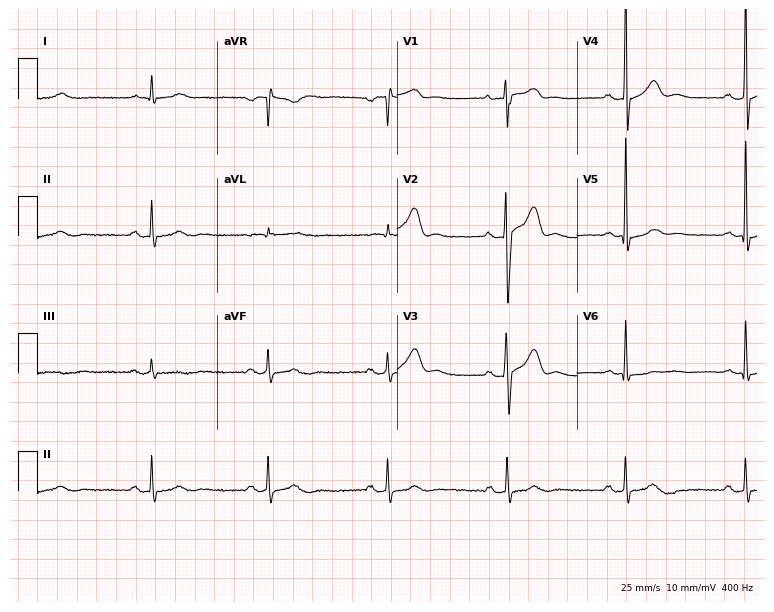
12-lead ECG from a 63-year-old male (7.3-second recording at 400 Hz). No first-degree AV block, right bundle branch block (RBBB), left bundle branch block (LBBB), sinus bradycardia, atrial fibrillation (AF) or sinus tachycardia recorded for this tracing.